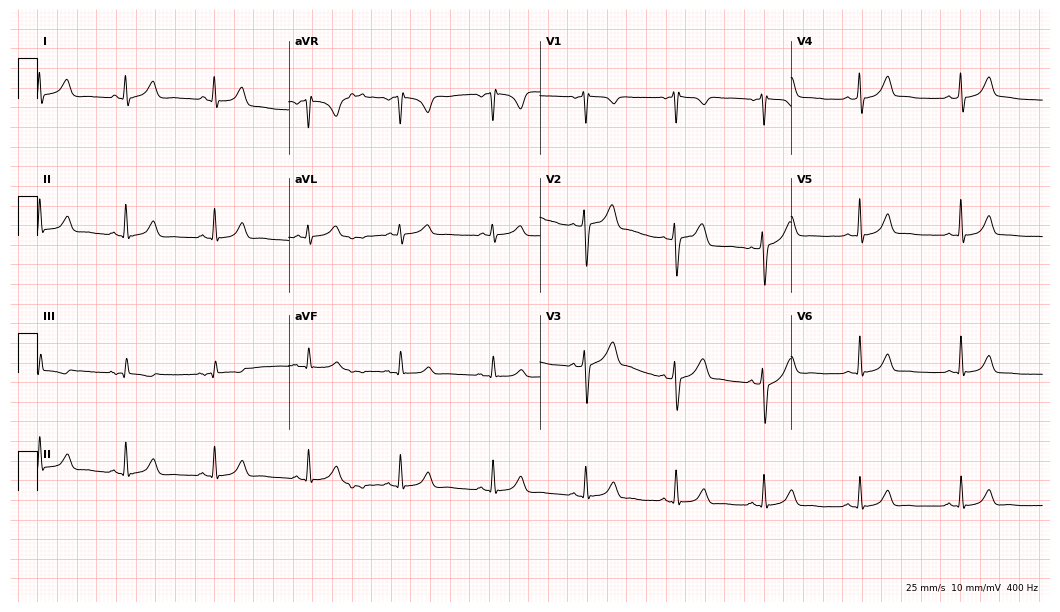
12-lead ECG from a male patient, 48 years old. Recorded interpretation: within normal limits.